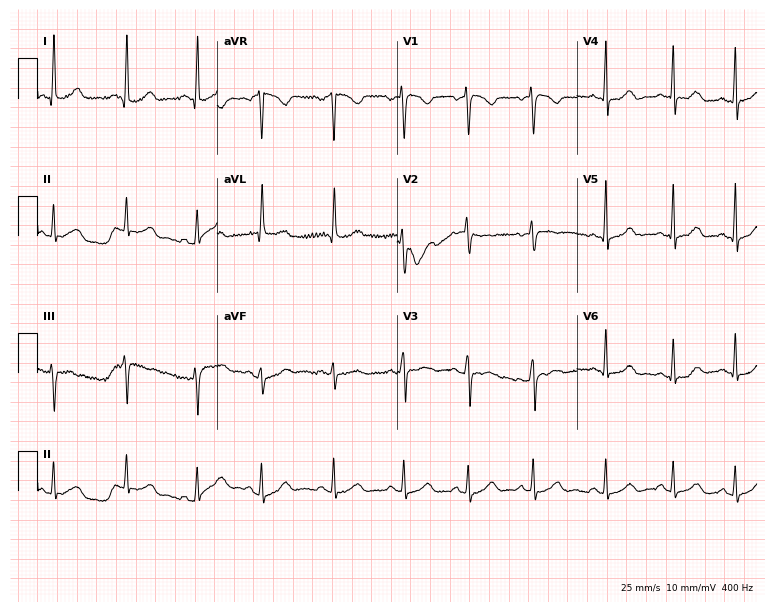
Standard 12-lead ECG recorded from a female patient, 48 years old. Read as a normal ECG.